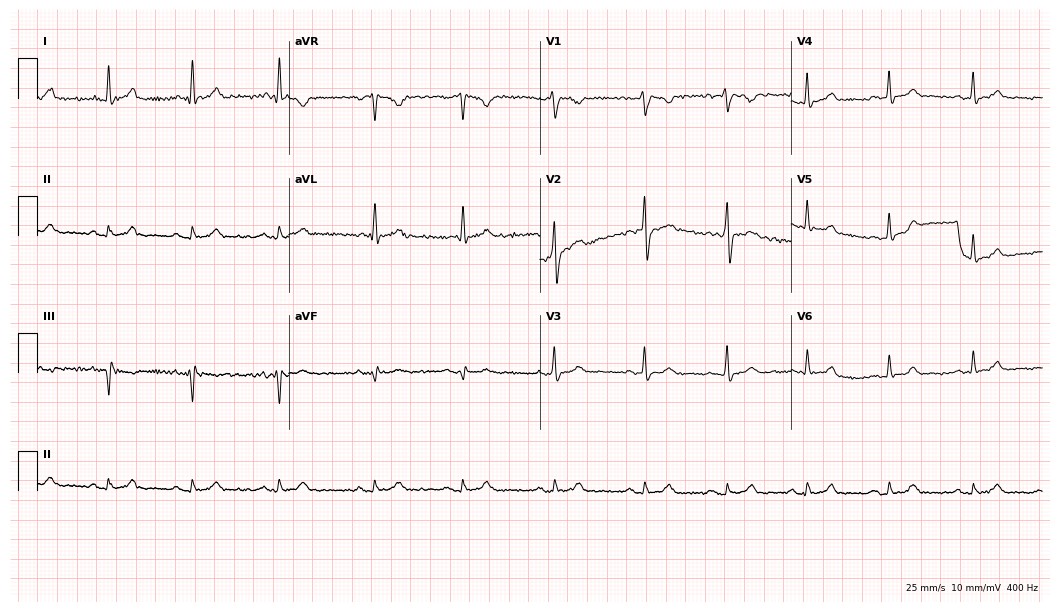
ECG (10.2-second recording at 400 Hz) — a 37-year-old male patient. Labelled as a normal ECG.